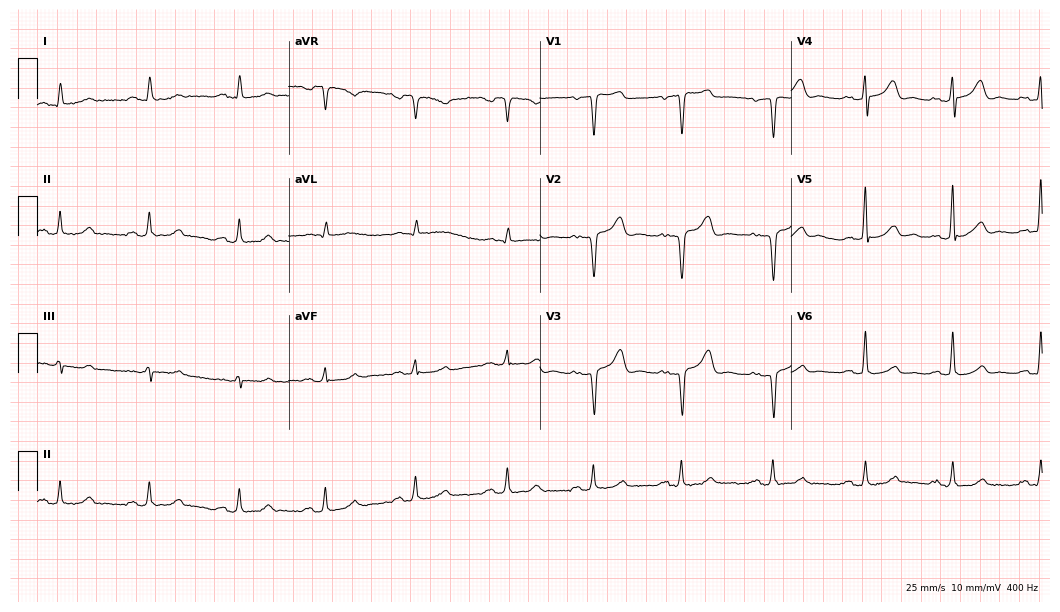
ECG (10.2-second recording at 400 Hz) — a female patient, 53 years old. Screened for six findings — first-degree AV block, right bundle branch block, left bundle branch block, sinus bradycardia, atrial fibrillation, sinus tachycardia — none is recorded. Findings outside these six are not listed.